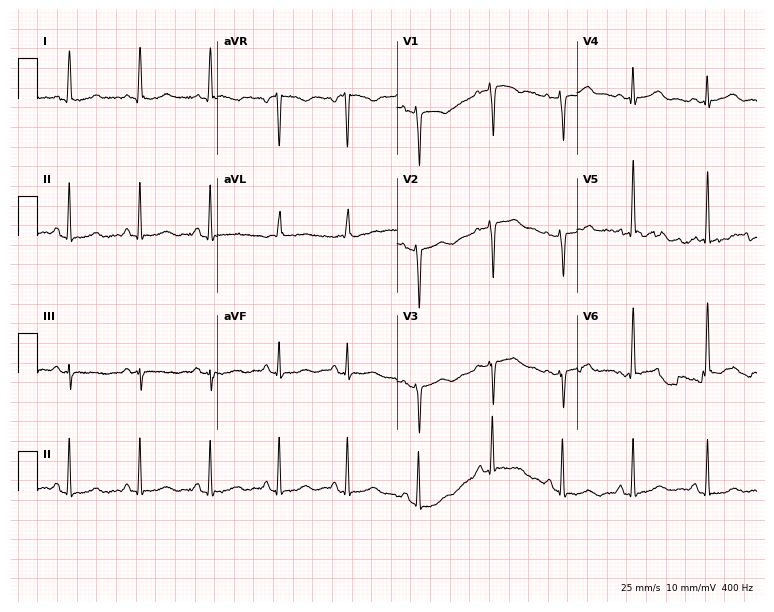
Standard 12-lead ECG recorded from a 77-year-old woman. None of these six findings is recorded: first-degree AV block, right bundle branch block (RBBB), left bundle branch block (LBBB), sinus bradycardia, atrial fibrillation (AF), sinus tachycardia.